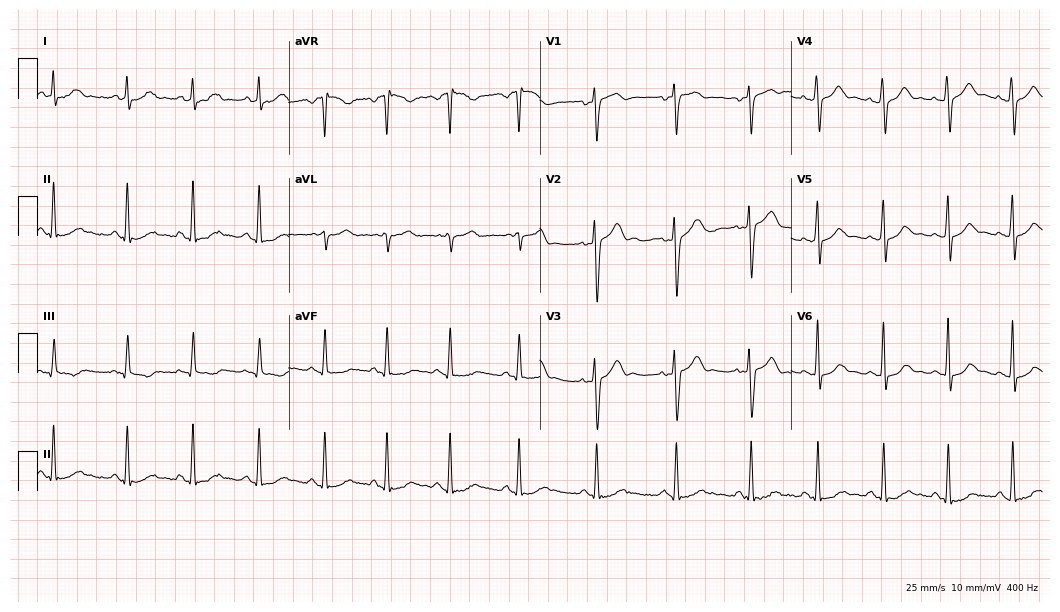
Electrocardiogram, a woman, 40 years old. Overall reading on record: normal ECG.